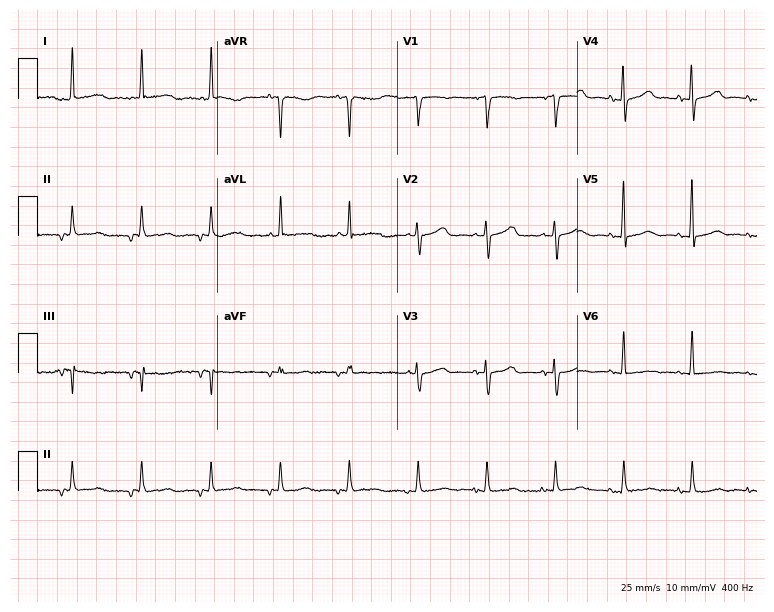
12-lead ECG from a female patient, 72 years old (7.3-second recording at 400 Hz). No first-degree AV block, right bundle branch block (RBBB), left bundle branch block (LBBB), sinus bradycardia, atrial fibrillation (AF) or sinus tachycardia recorded for this tracing. Findings outside these six are not listed.